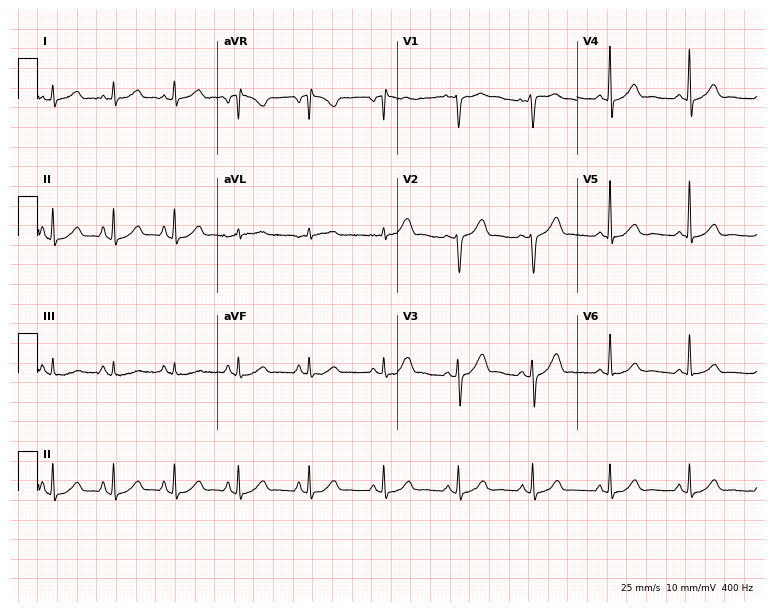
12-lead ECG from a 43-year-old female patient (7.3-second recording at 400 Hz). Recorded interpretation: within normal limits.